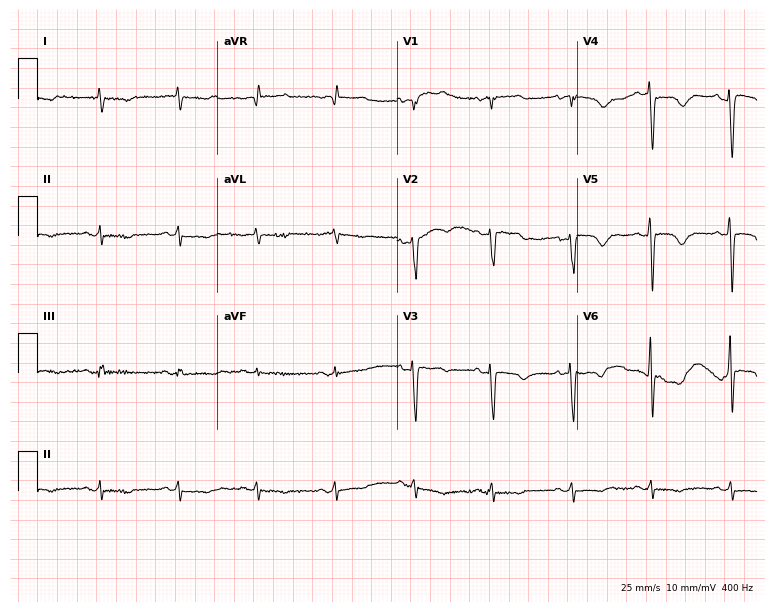
Resting 12-lead electrocardiogram (7.3-second recording at 400 Hz). Patient: a female, 76 years old. None of these six findings is recorded: first-degree AV block, right bundle branch block (RBBB), left bundle branch block (LBBB), sinus bradycardia, atrial fibrillation (AF), sinus tachycardia.